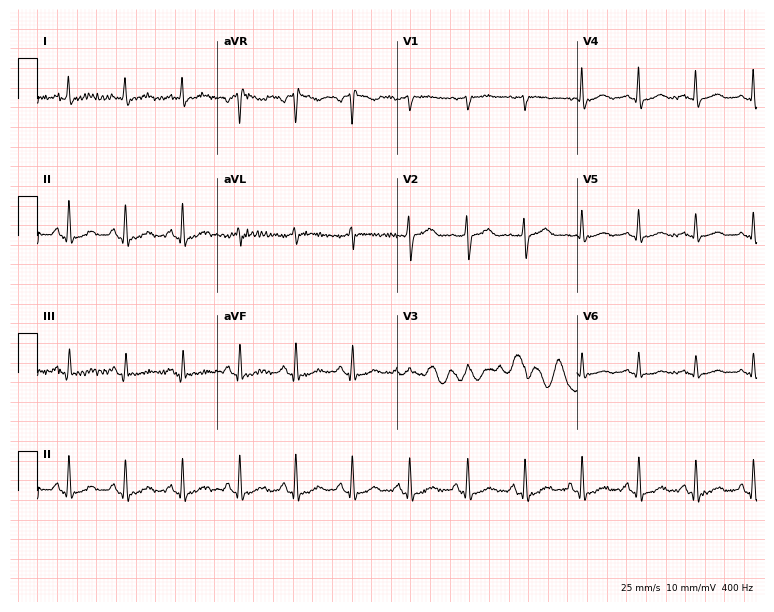
12-lead ECG from a 61-year-old woman (7.3-second recording at 400 Hz). No first-degree AV block, right bundle branch block, left bundle branch block, sinus bradycardia, atrial fibrillation or sinus tachycardia recorded for this tracing. Findings outside these six are not listed.